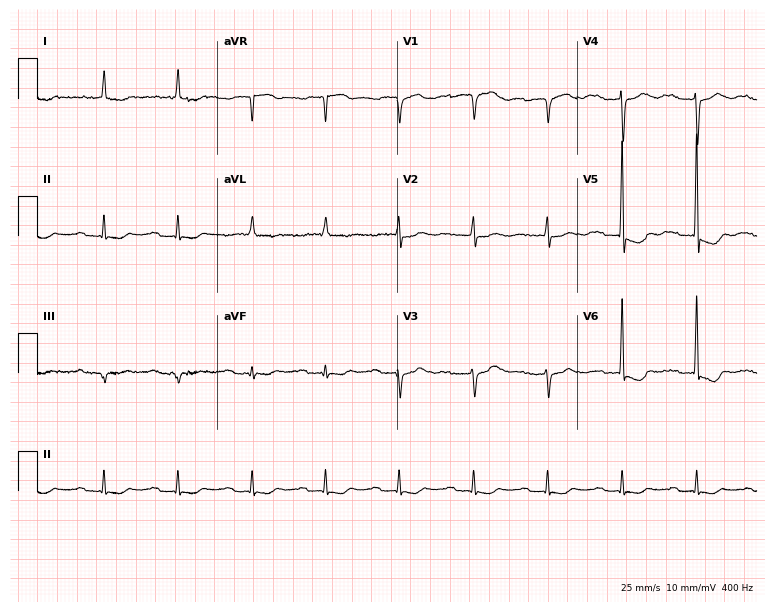
Standard 12-lead ECG recorded from an 83-year-old woman (7.3-second recording at 400 Hz). None of these six findings is recorded: first-degree AV block, right bundle branch block, left bundle branch block, sinus bradycardia, atrial fibrillation, sinus tachycardia.